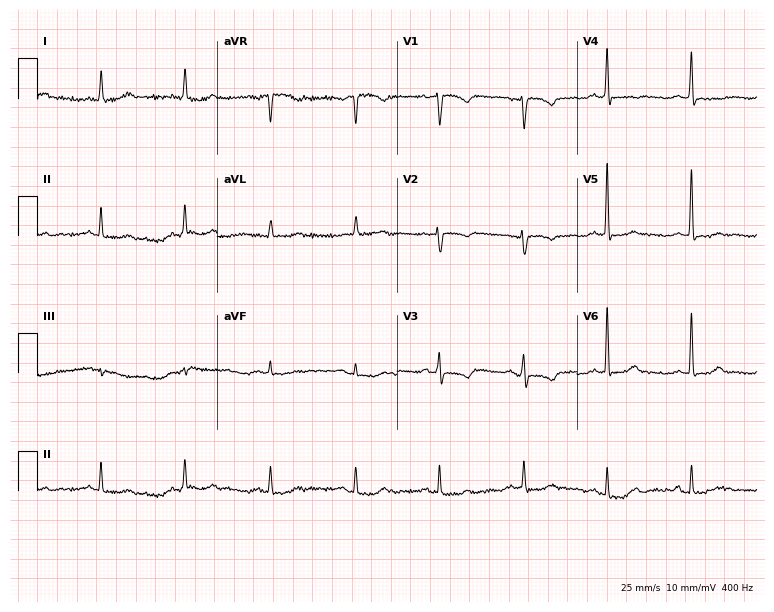
Standard 12-lead ECG recorded from a 63-year-old woman (7.3-second recording at 400 Hz). None of these six findings is recorded: first-degree AV block, right bundle branch block (RBBB), left bundle branch block (LBBB), sinus bradycardia, atrial fibrillation (AF), sinus tachycardia. Other findings, if any, are not listed.